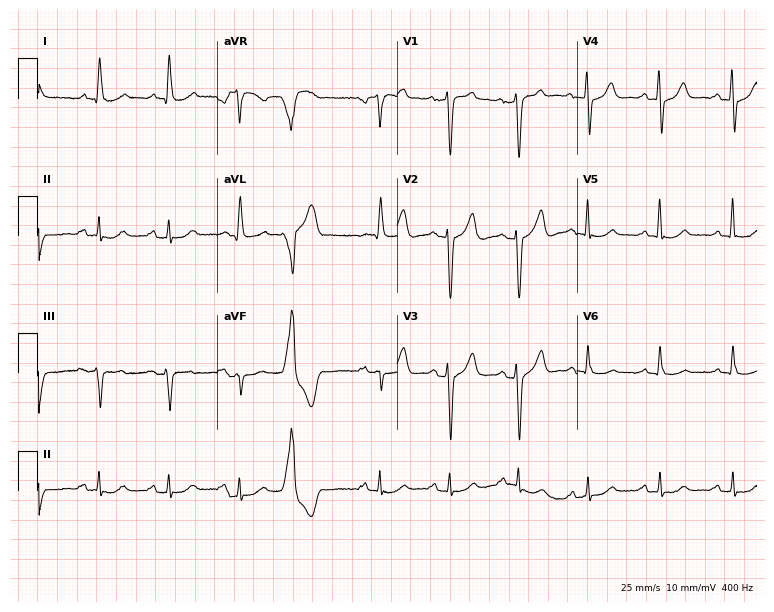
Electrocardiogram, a 63-year-old male patient. Of the six screened findings (first-degree AV block, right bundle branch block, left bundle branch block, sinus bradycardia, atrial fibrillation, sinus tachycardia), none is recorded. Other findings, if any, are not listed.